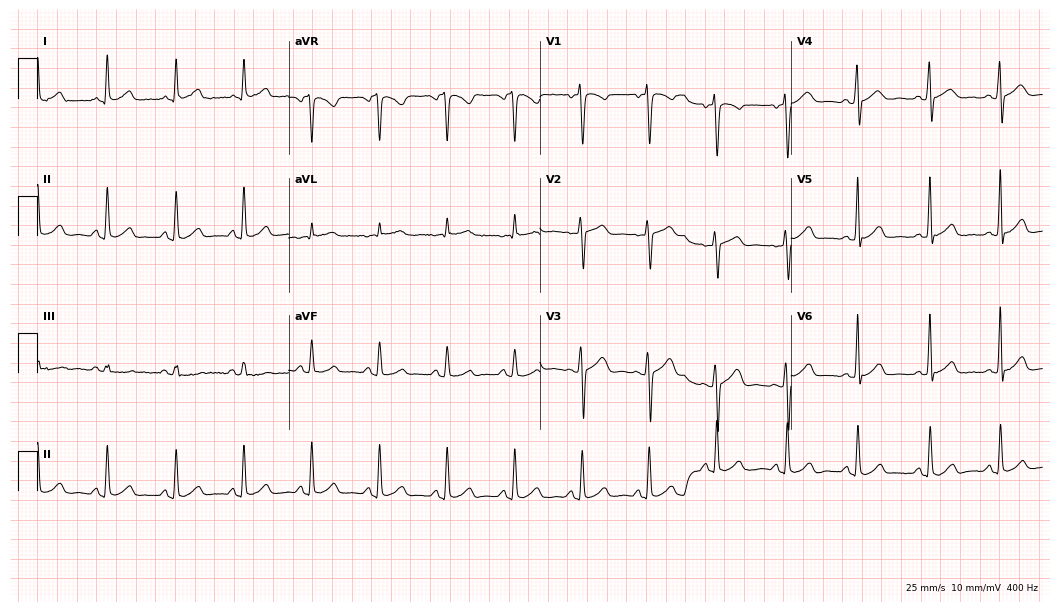
12-lead ECG from a 26-year-old female patient. Labelled as a normal ECG.